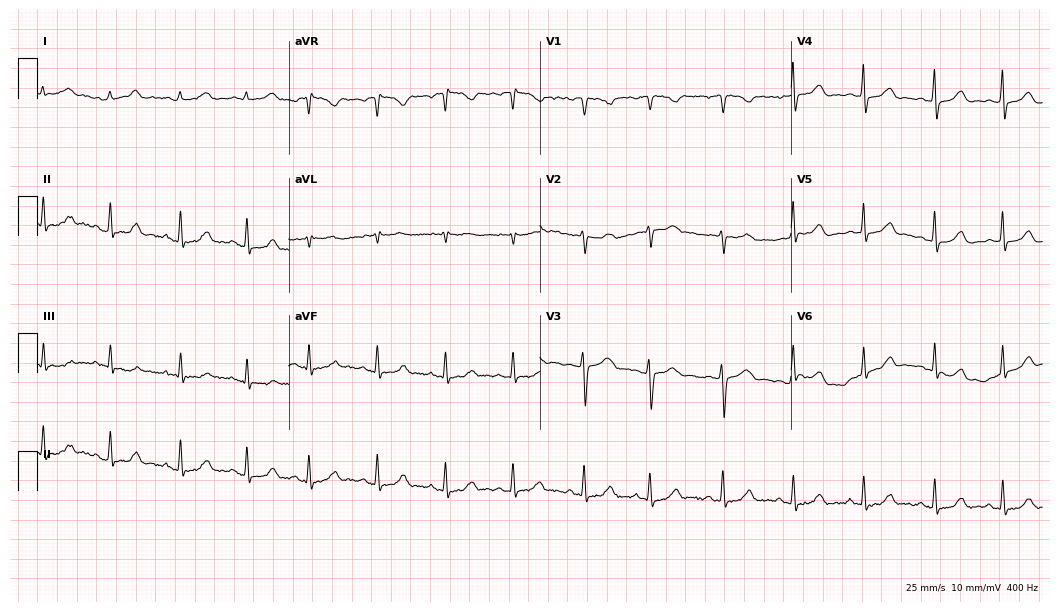
Resting 12-lead electrocardiogram (10.2-second recording at 400 Hz). Patient: a female, 35 years old. Read as a normal ECG.